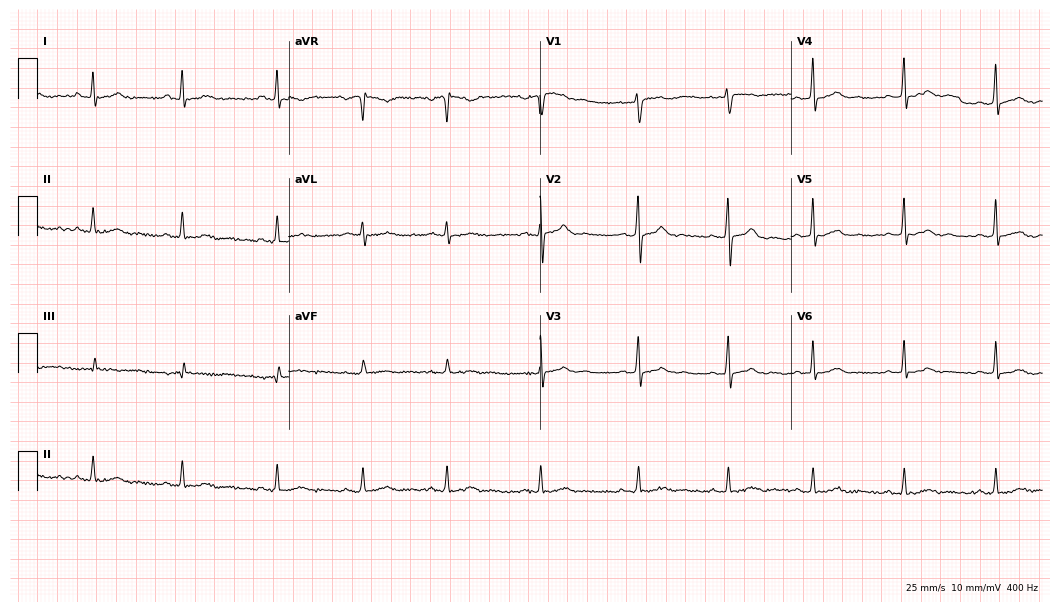
Electrocardiogram (10.2-second recording at 400 Hz), a 32-year-old woman. Overall reading on record: normal ECG.